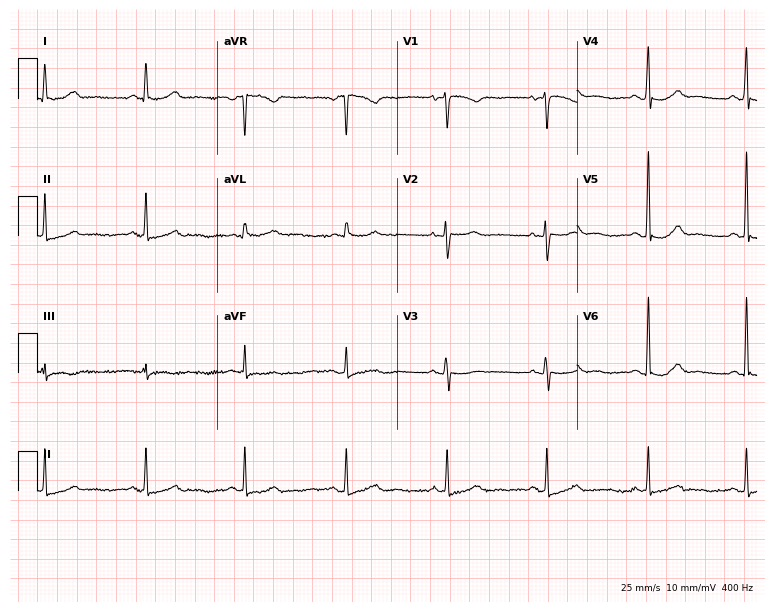
Standard 12-lead ECG recorded from a 58-year-old woman. Read as a normal ECG.